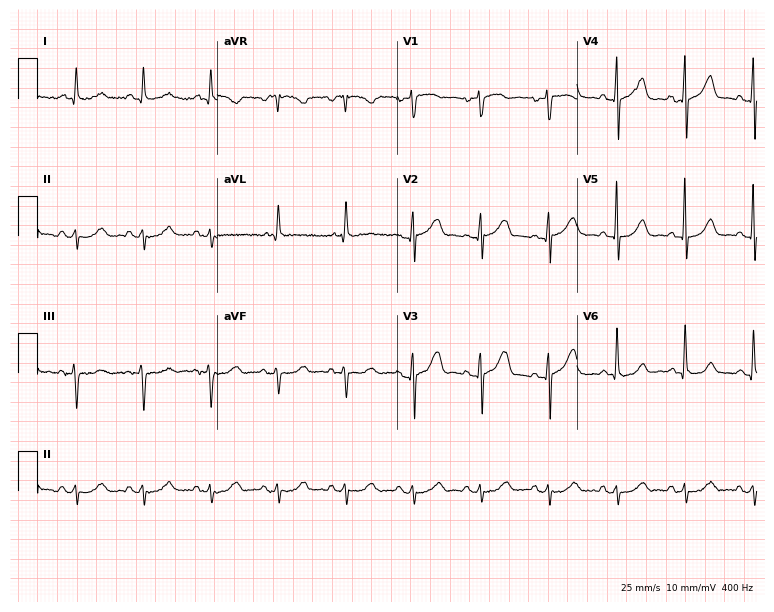
ECG — a 68-year-old female. Screened for six findings — first-degree AV block, right bundle branch block (RBBB), left bundle branch block (LBBB), sinus bradycardia, atrial fibrillation (AF), sinus tachycardia — none is recorded.